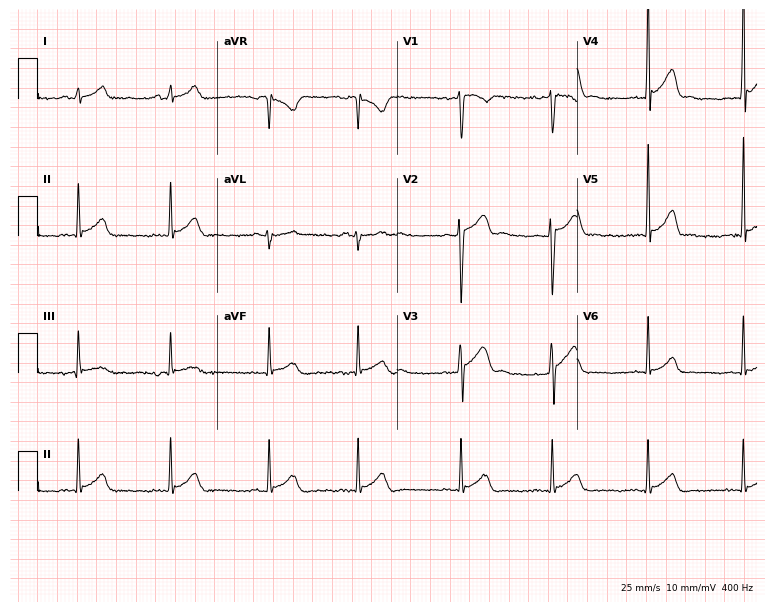
Resting 12-lead electrocardiogram (7.3-second recording at 400 Hz). Patient: a 17-year-old man. Read as a normal ECG.